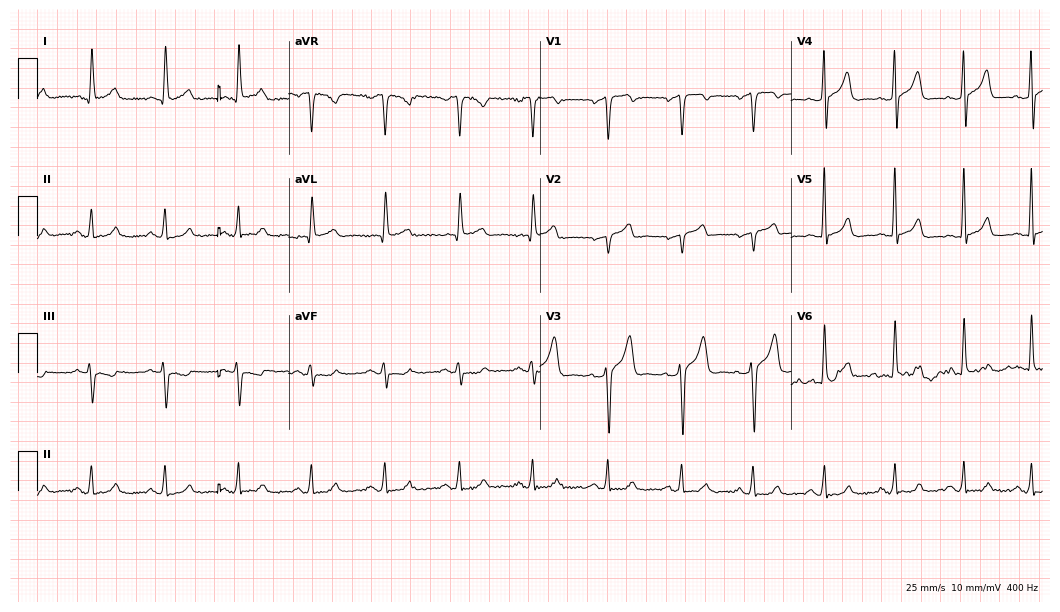
ECG (10.2-second recording at 400 Hz) — a 79-year-old male patient. Labelled as a normal ECG.